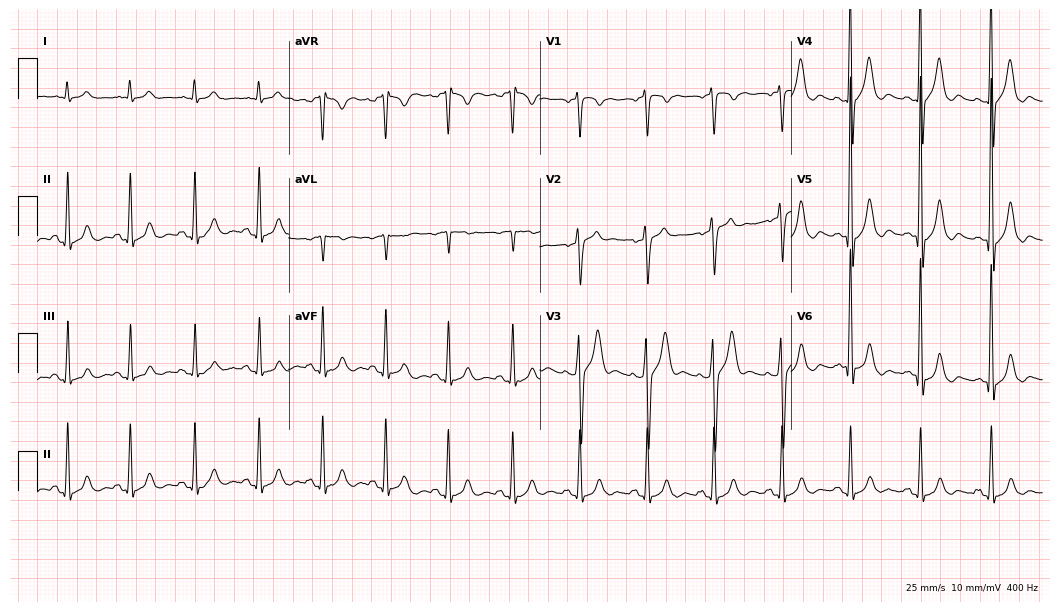
Resting 12-lead electrocardiogram. Patient: a 63-year-old man. Read as a normal ECG.